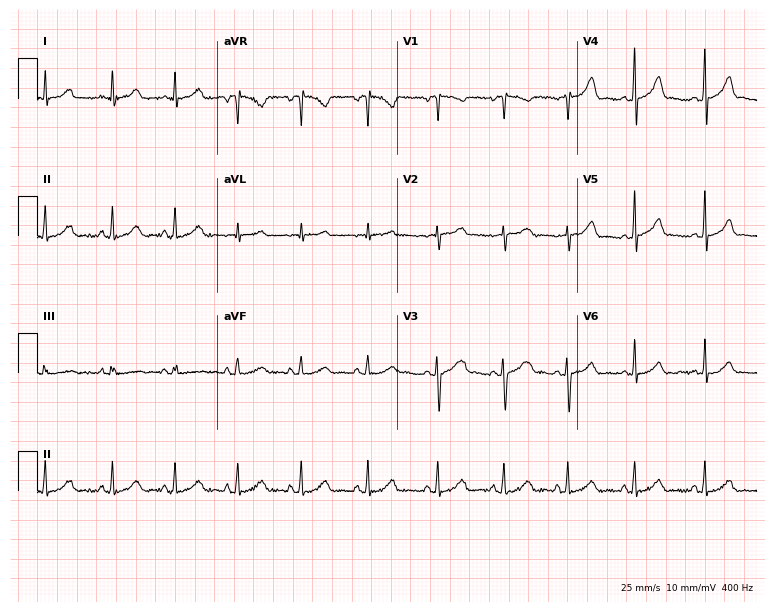
ECG — a 24-year-old female patient. Labelled as a normal ECG.